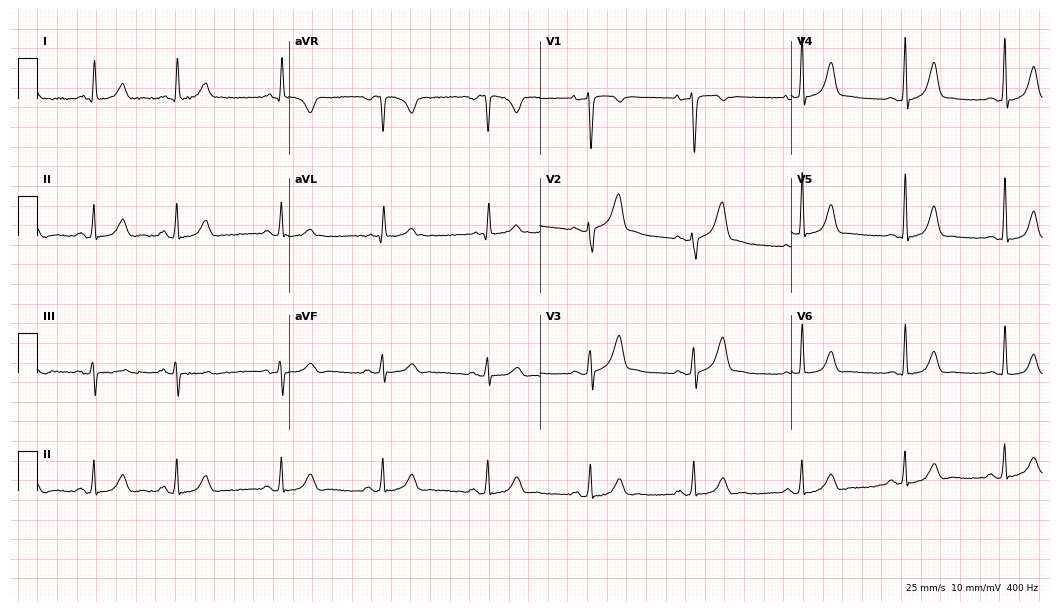
Standard 12-lead ECG recorded from a 37-year-old female (10.2-second recording at 400 Hz). Read as a normal ECG.